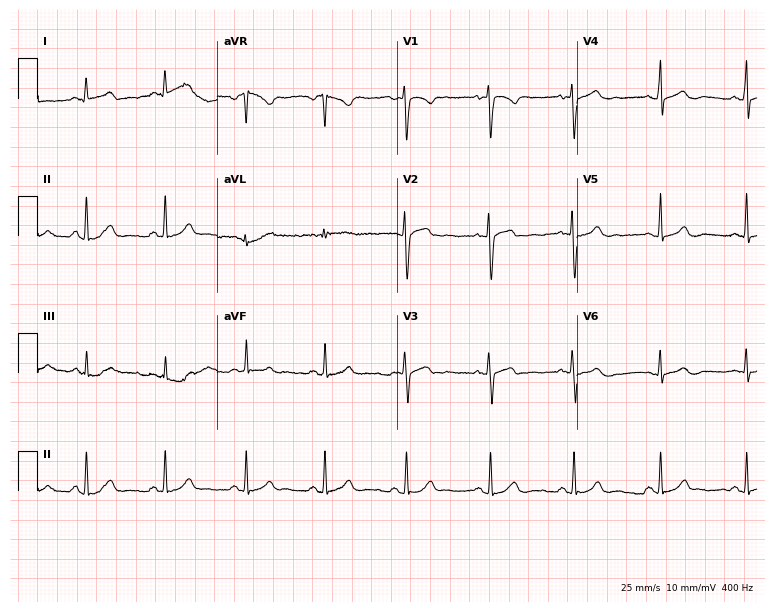
ECG (7.3-second recording at 400 Hz) — a 28-year-old woman. Labelled as a normal ECG.